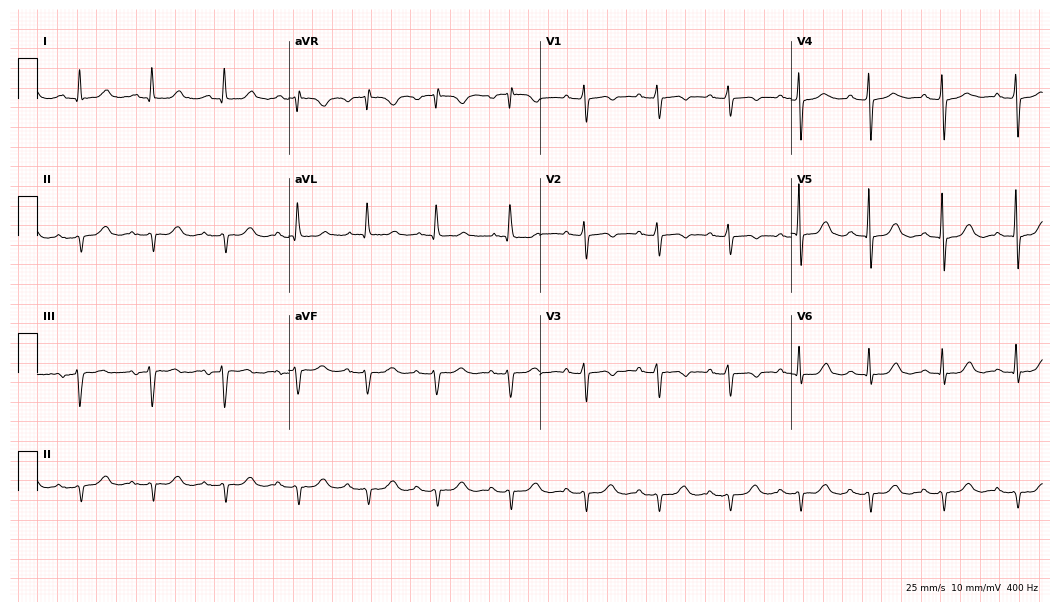
12-lead ECG from a 77-year-old female (10.2-second recording at 400 Hz). No first-degree AV block, right bundle branch block (RBBB), left bundle branch block (LBBB), sinus bradycardia, atrial fibrillation (AF) or sinus tachycardia recorded for this tracing. Other findings, if any, are not listed.